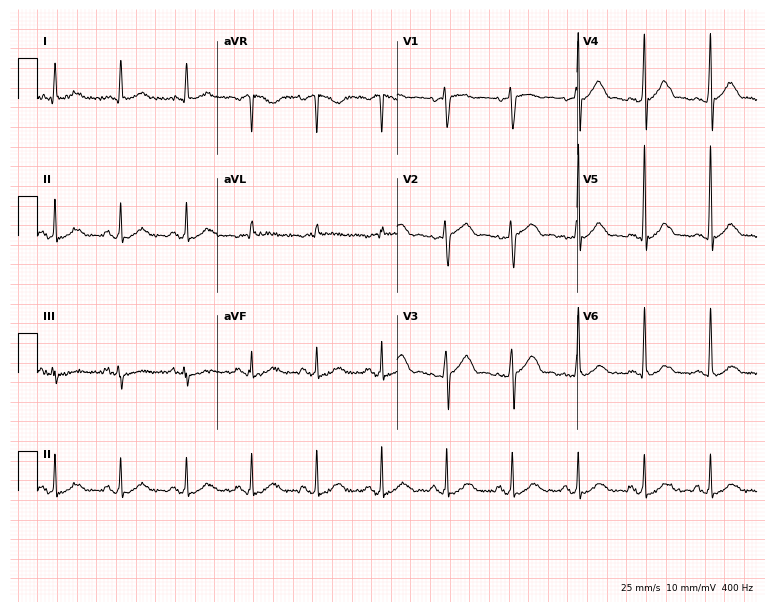
12-lead ECG from a male, 63 years old. Labelled as a normal ECG.